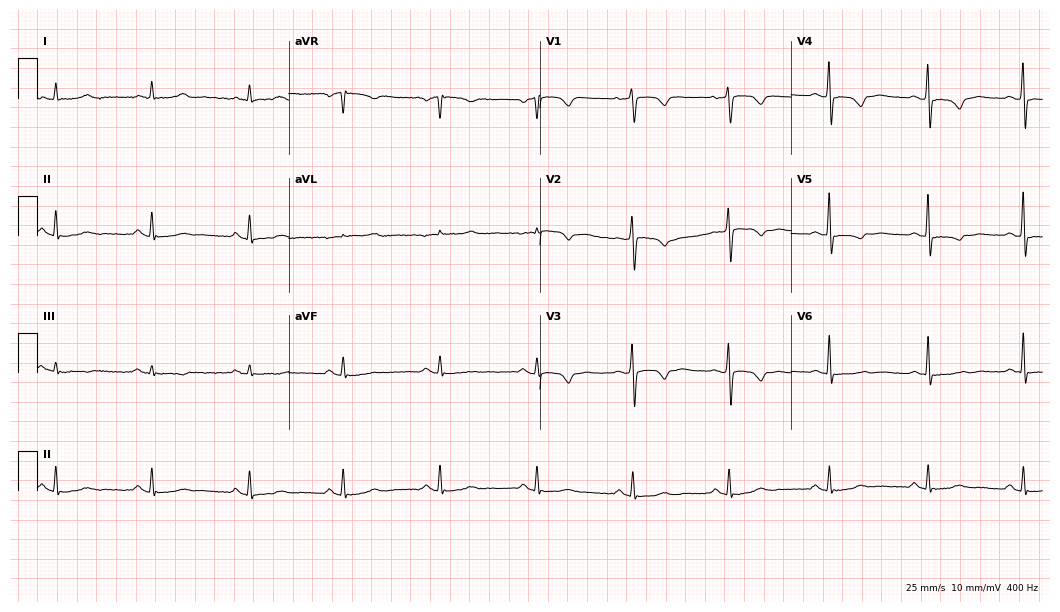
12-lead ECG (10.2-second recording at 400 Hz) from a 56-year-old female. Screened for six findings — first-degree AV block, right bundle branch block, left bundle branch block, sinus bradycardia, atrial fibrillation, sinus tachycardia — none is recorded. Only these six findings were labelled.